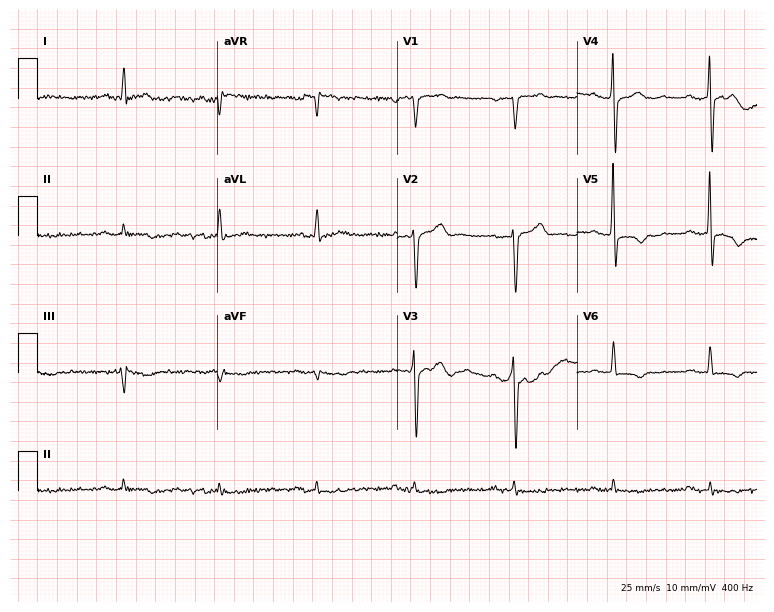
12-lead ECG from a male patient, 68 years old (7.3-second recording at 400 Hz). No first-degree AV block, right bundle branch block, left bundle branch block, sinus bradycardia, atrial fibrillation or sinus tachycardia recorded for this tracing. Findings outside these six are not listed.